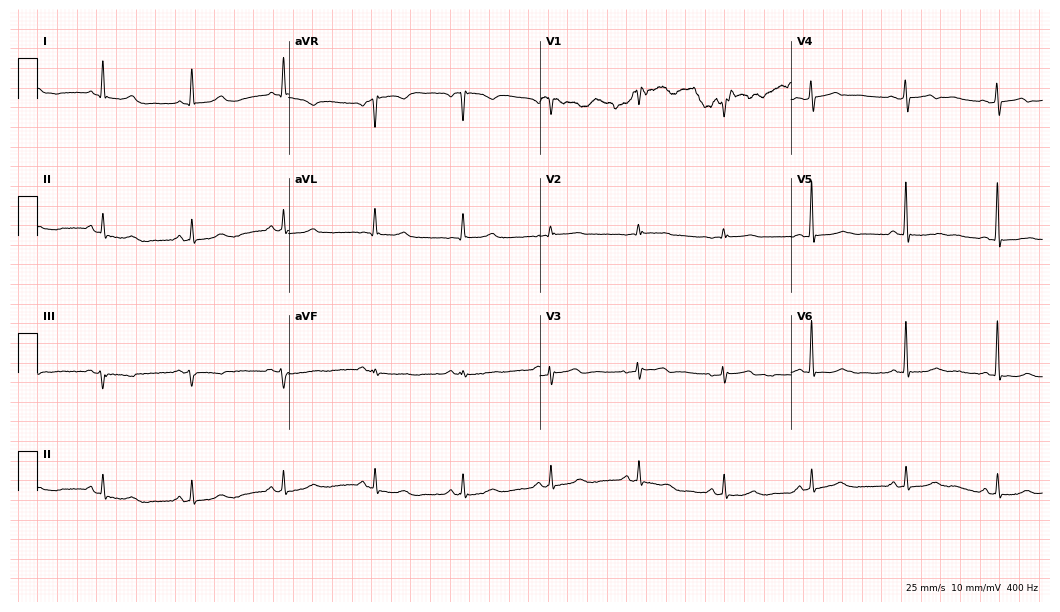
Standard 12-lead ECG recorded from a female patient, 51 years old. None of these six findings is recorded: first-degree AV block, right bundle branch block, left bundle branch block, sinus bradycardia, atrial fibrillation, sinus tachycardia.